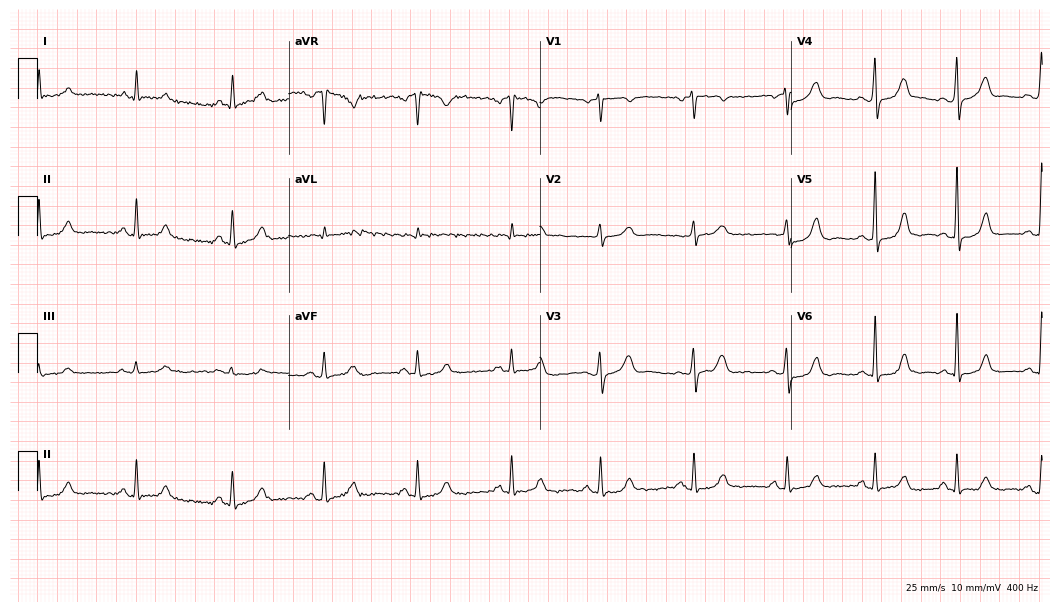
12-lead ECG from a 61-year-old female (10.2-second recording at 400 Hz). Recorded interpretation: within normal limits.